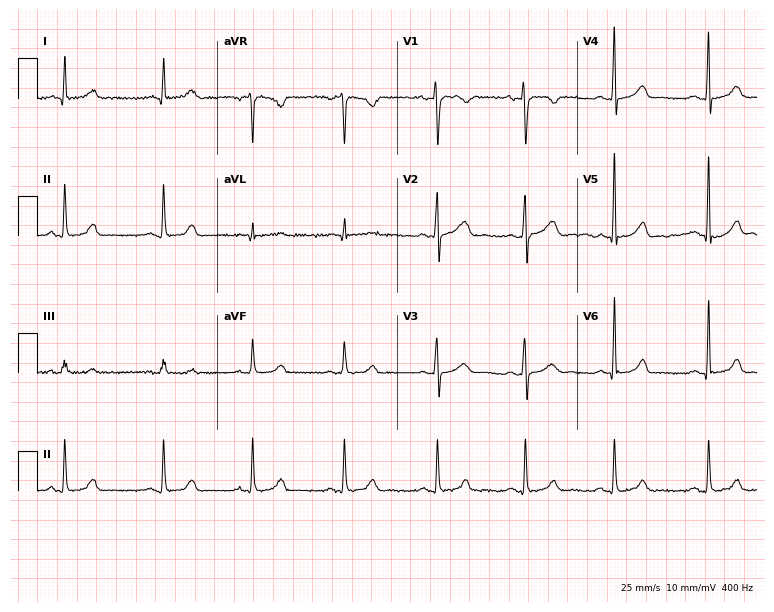
12-lead ECG (7.3-second recording at 400 Hz) from a 33-year-old female. Labelled as a normal ECG.